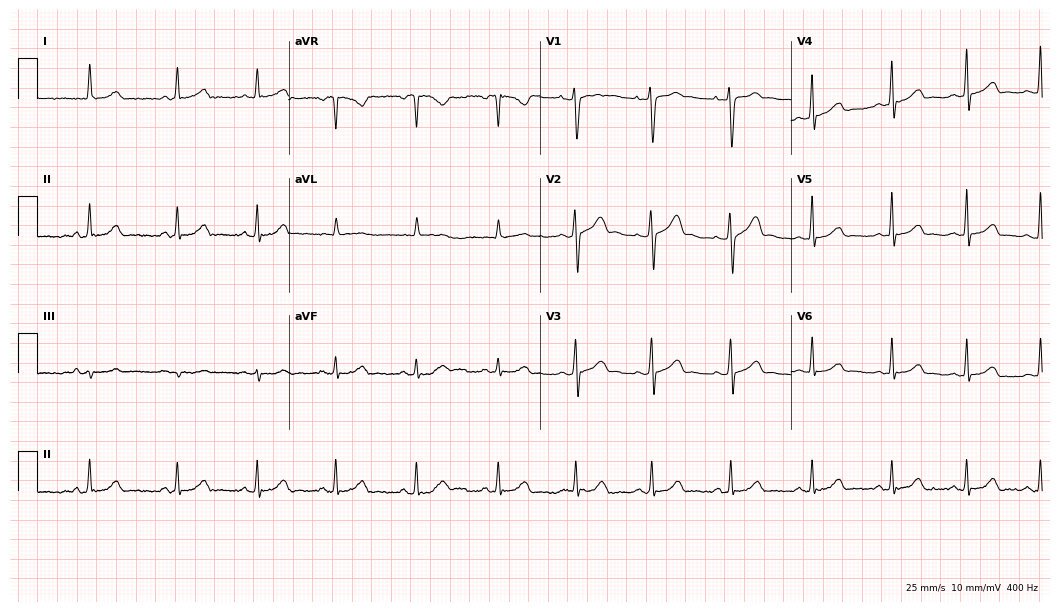
Resting 12-lead electrocardiogram (10.2-second recording at 400 Hz). Patient: a 37-year-old female. None of these six findings is recorded: first-degree AV block, right bundle branch block, left bundle branch block, sinus bradycardia, atrial fibrillation, sinus tachycardia.